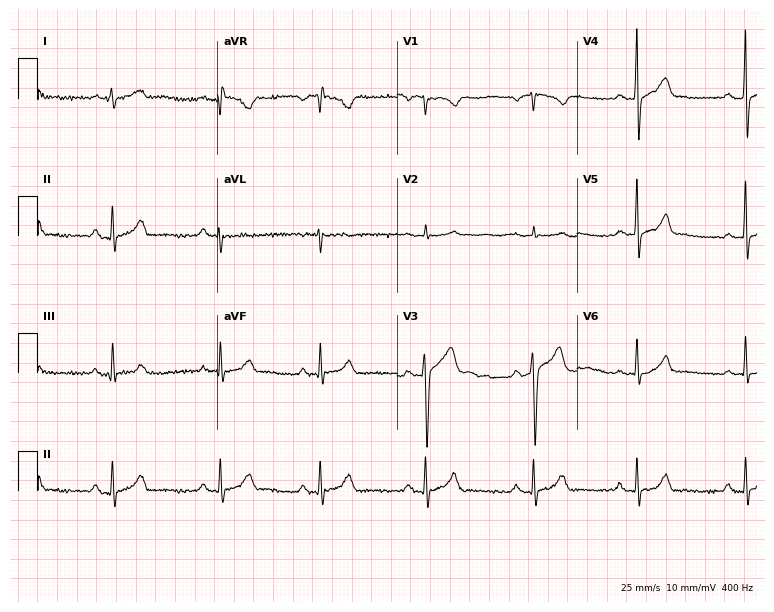
Resting 12-lead electrocardiogram. Patient: a man, 24 years old. Read as a normal ECG.